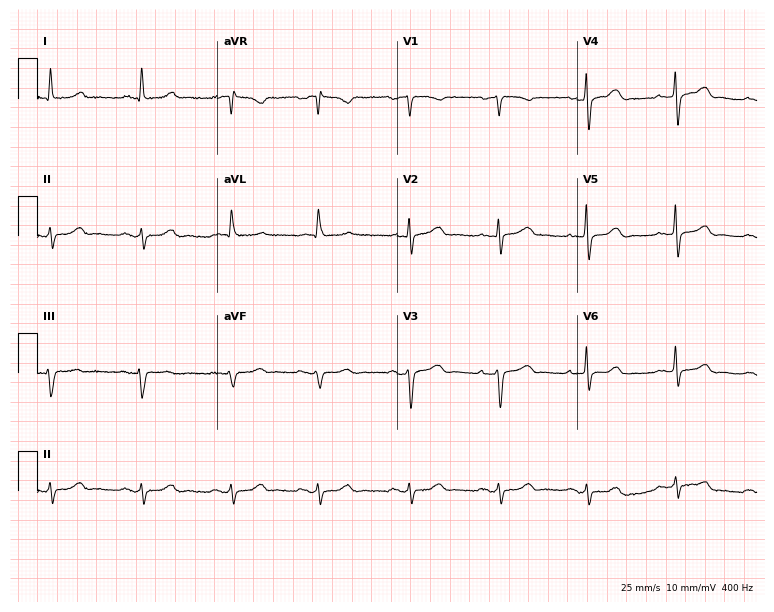
Resting 12-lead electrocardiogram. Patient: an 85-year-old female. None of these six findings is recorded: first-degree AV block, right bundle branch block, left bundle branch block, sinus bradycardia, atrial fibrillation, sinus tachycardia. Other findings, if any, are not listed.